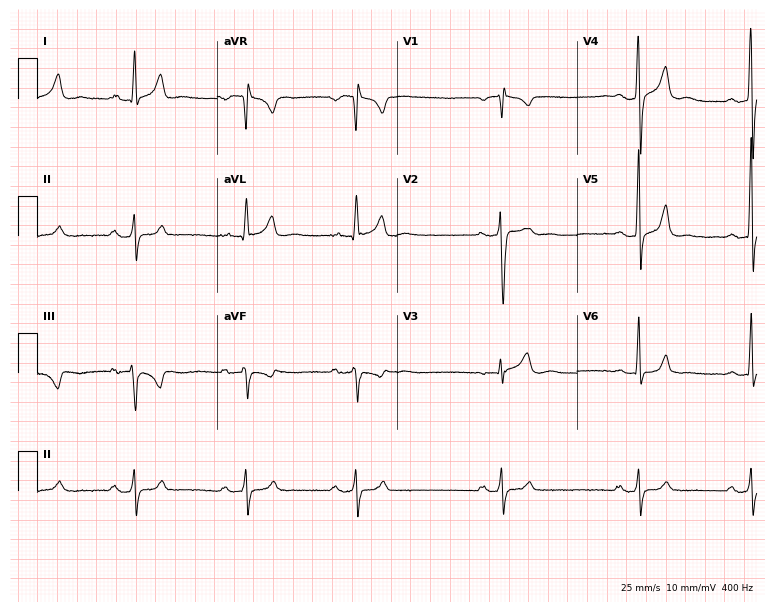
Electrocardiogram (7.3-second recording at 400 Hz), a male patient, 46 years old. Interpretation includes sinus bradycardia (a sinus rate of 50 beats per minute or less).